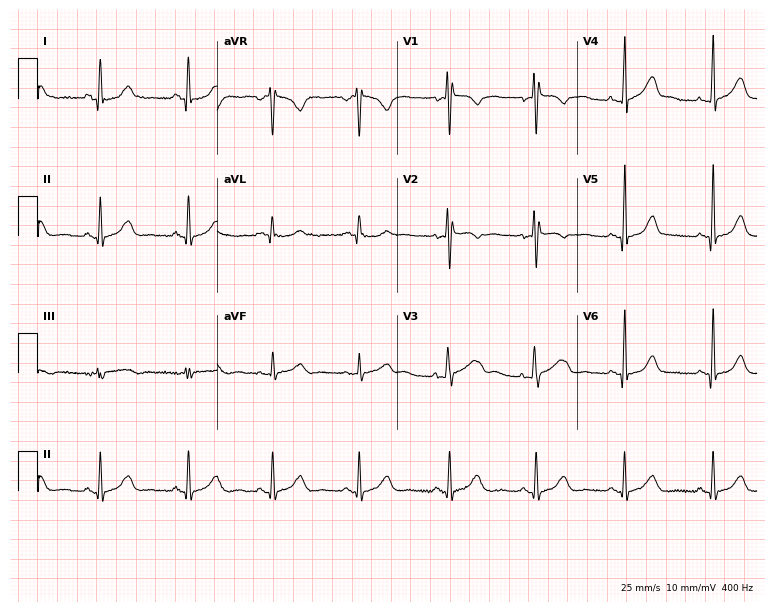
12-lead ECG (7.3-second recording at 400 Hz) from a 56-year-old female patient. Labelled as a normal ECG.